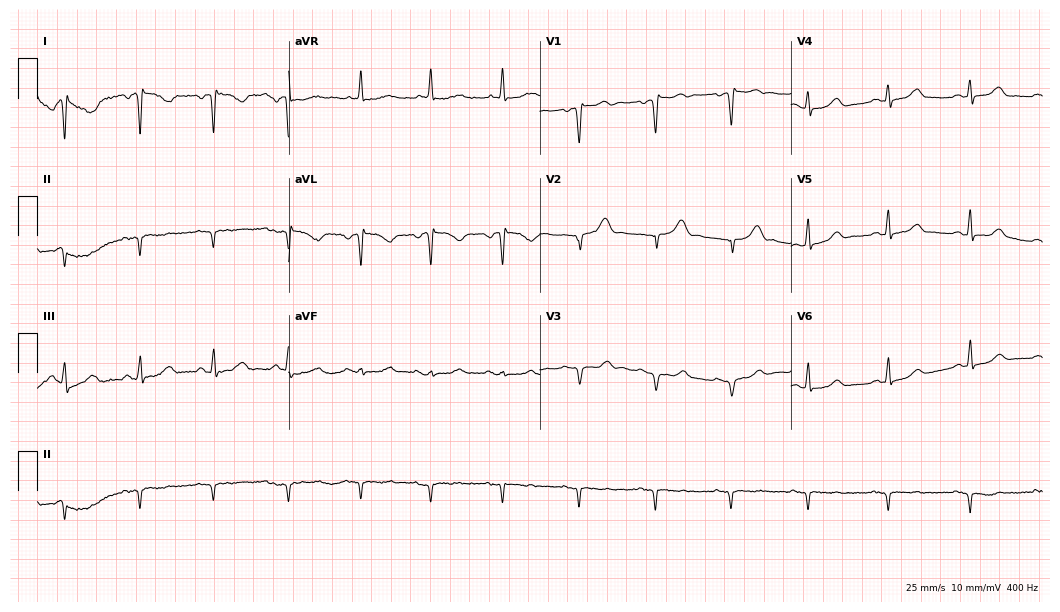
12-lead ECG from a female patient, 56 years old (10.2-second recording at 400 Hz). No first-degree AV block, right bundle branch block (RBBB), left bundle branch block (LBBB), sinus bradycardia, atrial fibrillation (AF) or sinus tachycardia recorded for this tracing.